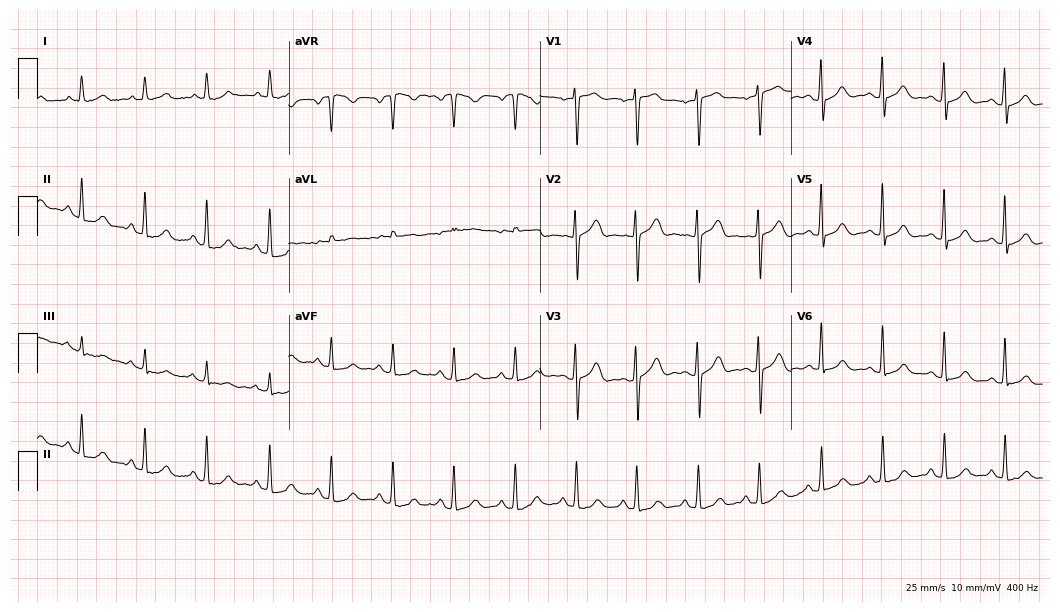
12-lead ECG (10.2-second recording at 400 Hz) from a woman, 73 years old. Labelled as a normal ECG.